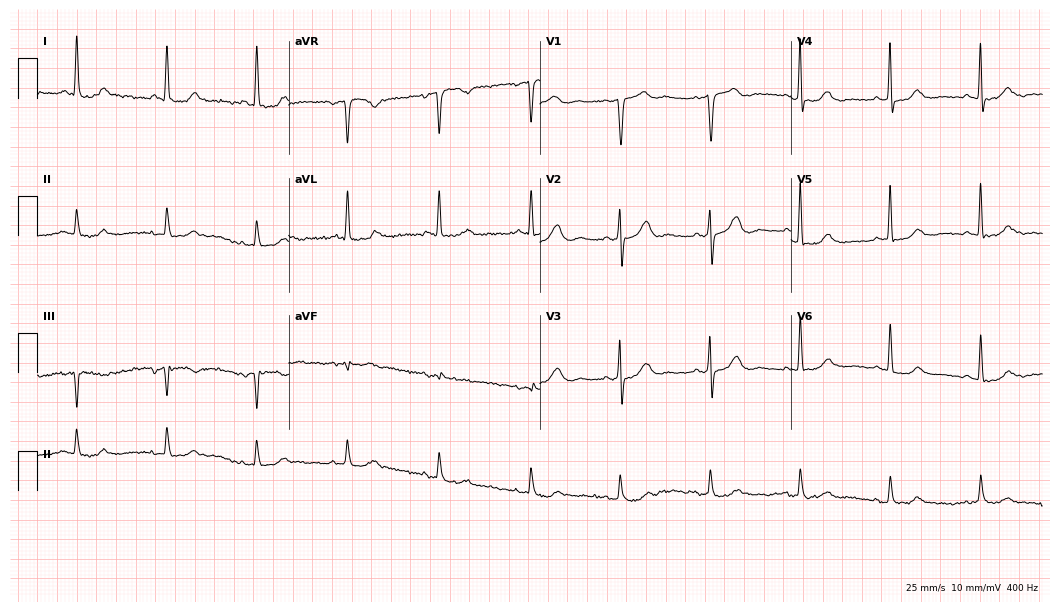
ECG — a man, 82 years old. Labelled as a normal ECG.